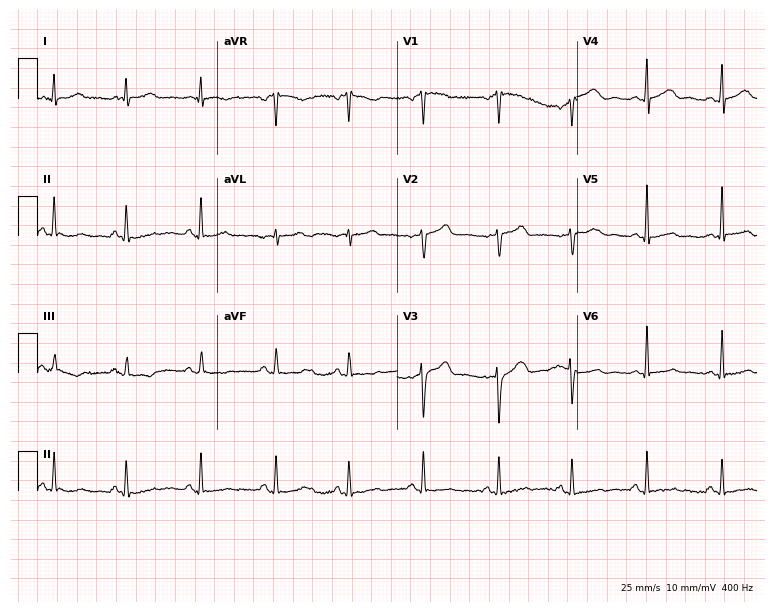
Standard 12-lead ECG recorded from a 49-year-old female patient. None of these six findings is recorded: first-degree AV block, right bundle branch block, left bundle branch block, sinus bradycardia, atrial fibrillation, sinus tachycardia.